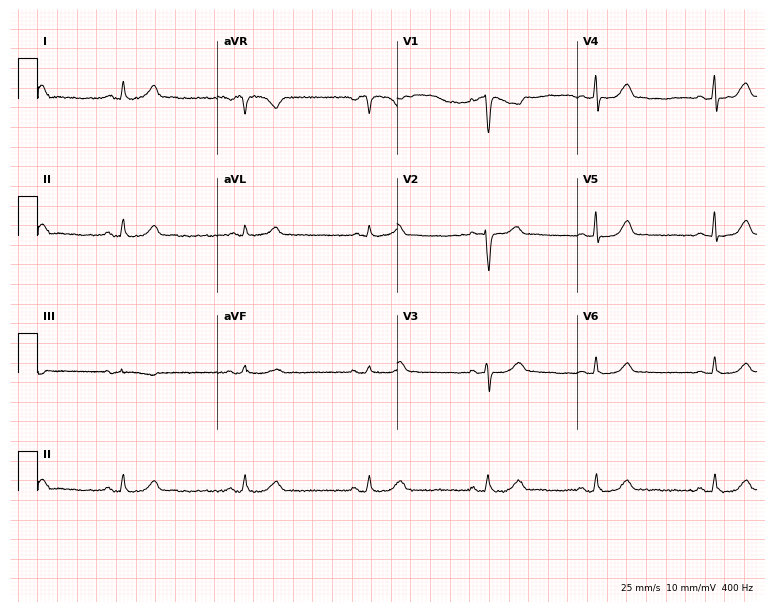
12-lead ECG from a woman, 55 years old (7.3-second recording at 400 Hz). Shows sinus bradycardia (a sinus rate of 50 beats per minute or less).